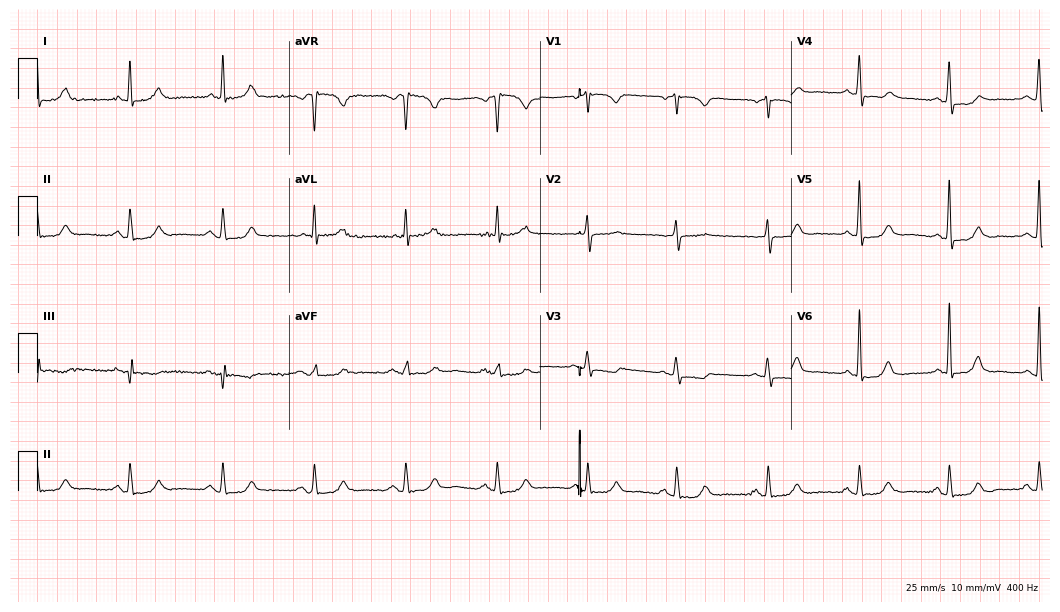
ECG — a female, 65 years old. Screened for six findings — first-degree AV block, right bundle branch block, left bundle branch block, sinus bradycardia, atrial fibrillation, sinus tachycardia — none is recorded. Only these six findings were labelled.